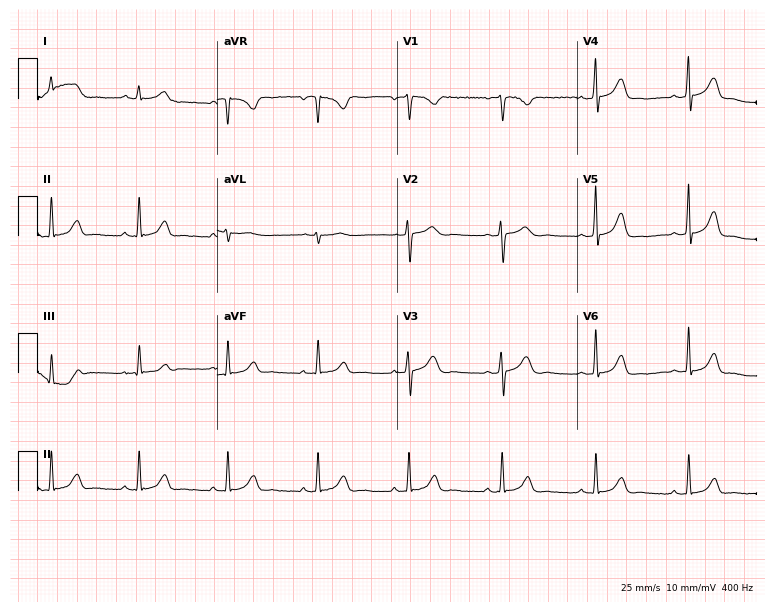
12-lead ECG (7.3-second recording at 400 Hz) from a woman, 26 years old. Screened for six findings — first-degree AV block, right bundle branch block, left bundle branch block, sinus bradycardia, atrial fibrillation, sinus tachycardia — none is recorded. Only these six findings were labelled.